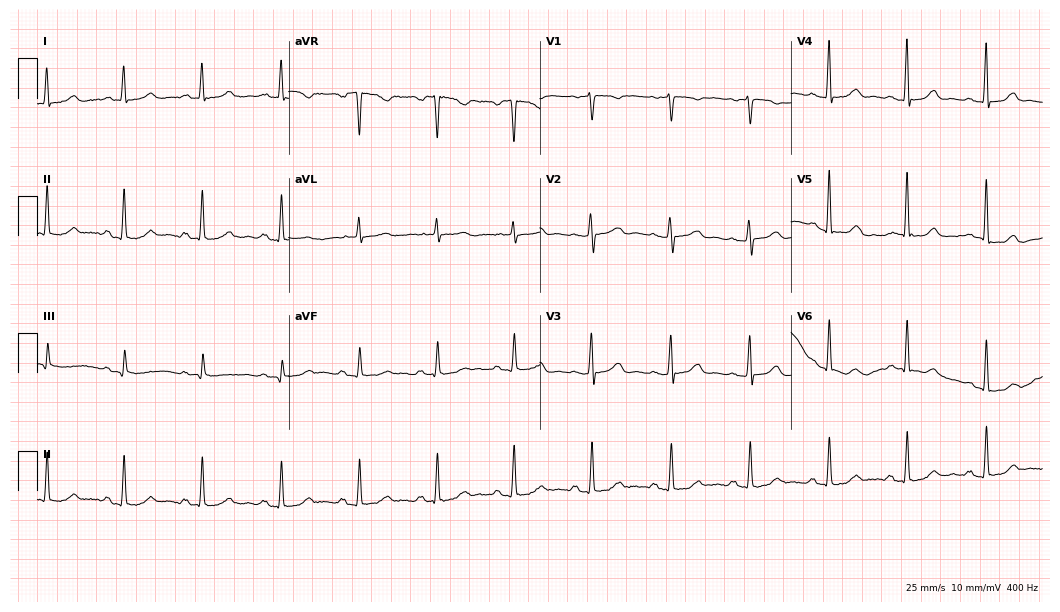
Standard 12-lead ECG recorded from a female patient, 50 years old. Read as a normal ECG.